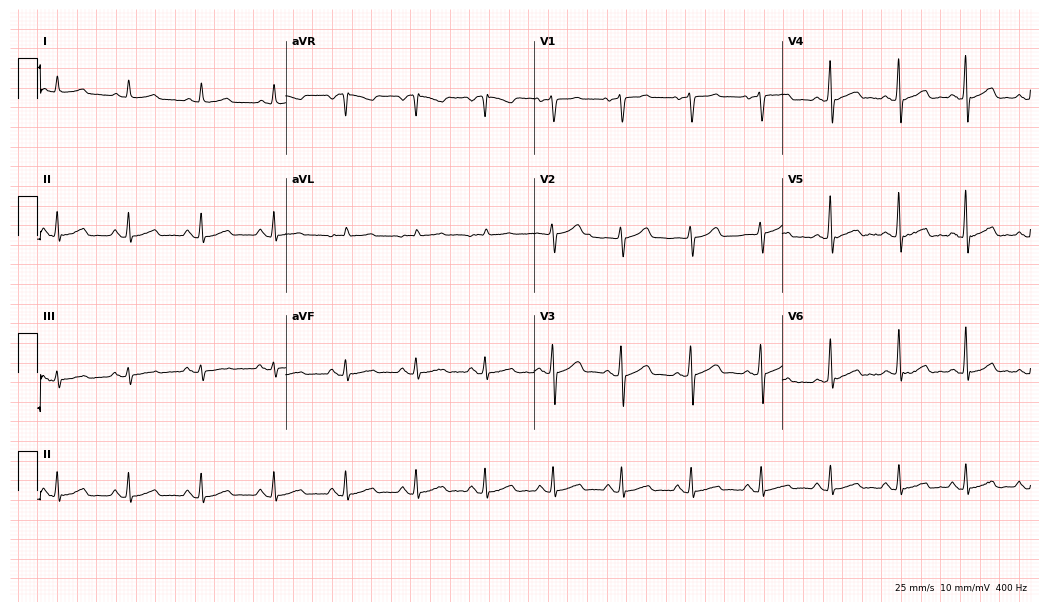
12-lead ECG from a male patient, 55 years old. Recorded interpretation: within normal limits.